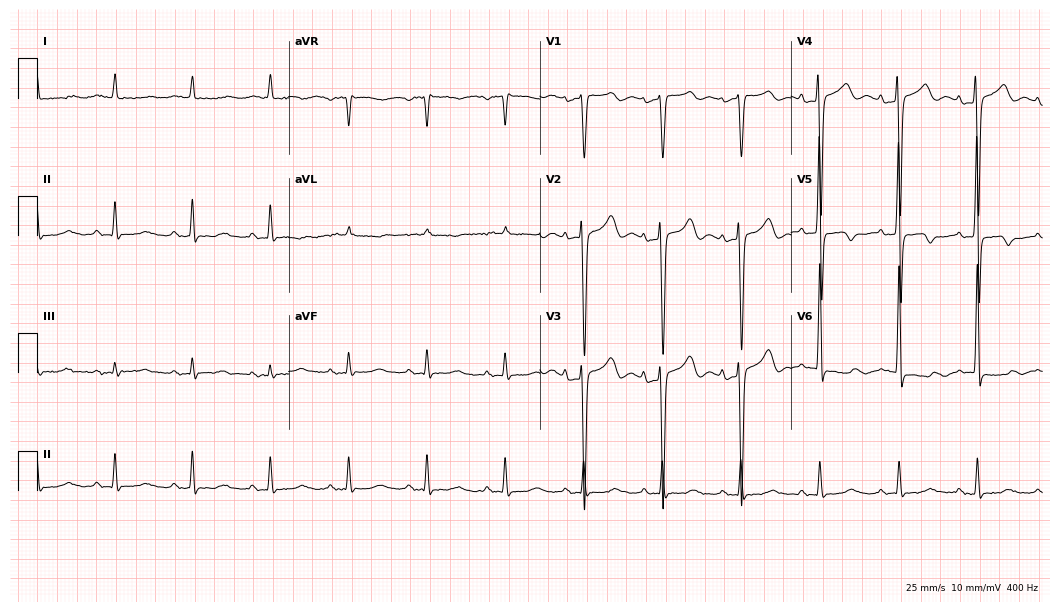
ECG — a man, 75 years old. Screened for six findings — first-degree AV block, right bundle branch block (RBBB), left bundle branch block (LBBB), sinus bradycardia, atrial fibrillation (AF), sinus tachycardia — none is recorded. Only these six findings were labelled.